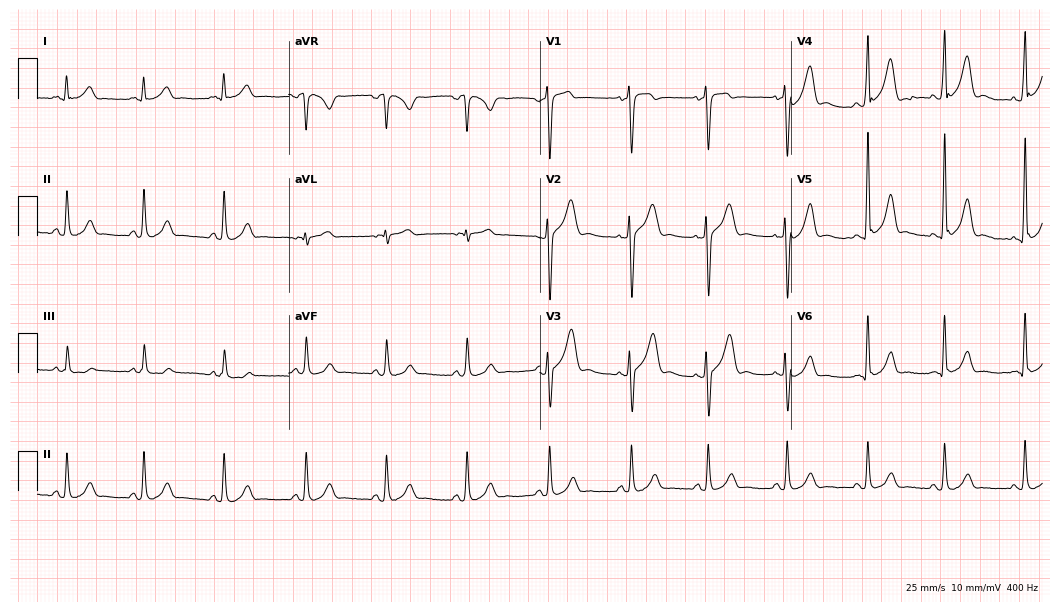
ECG — a 41-year-old male patient. Labelled as a normal ECG.